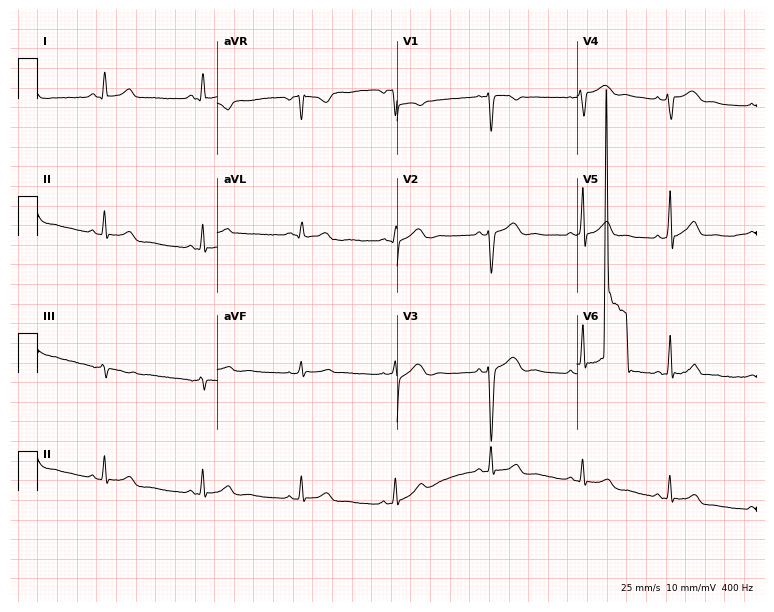
Electrocardiogram, a female, 18 years old. Of the six screened findings (first-degree AV block, right bundle branch block, left bundle branch block, sinus bradycardia, atrial fibrillation, sinus tachycardia), none is recorded.